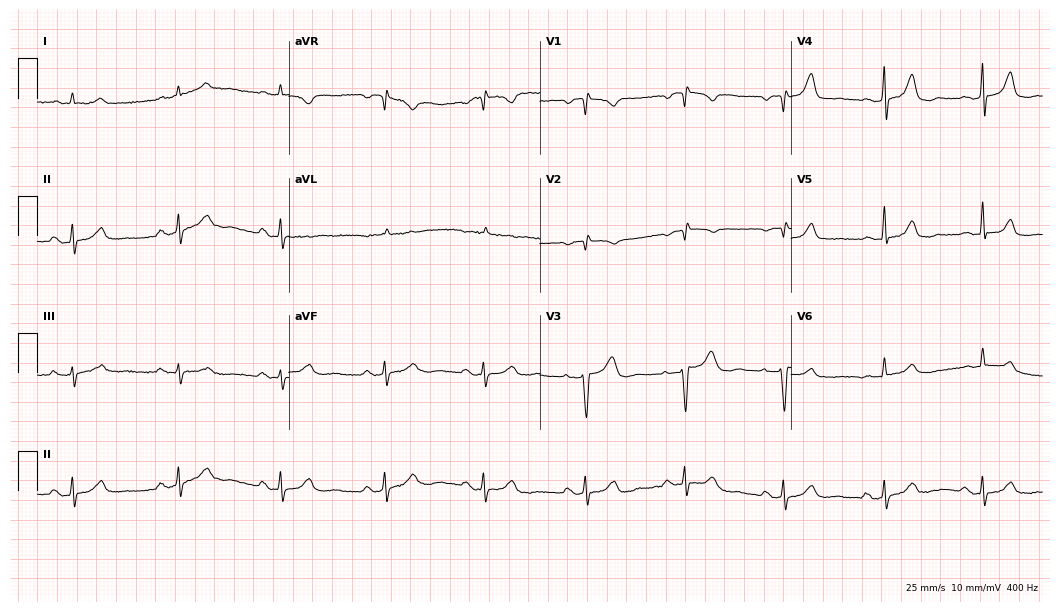
12-lead ECG from a female patient, 70 years old (10.2-second recording at 400 Hz). Recorded interpretation: within normal limits.